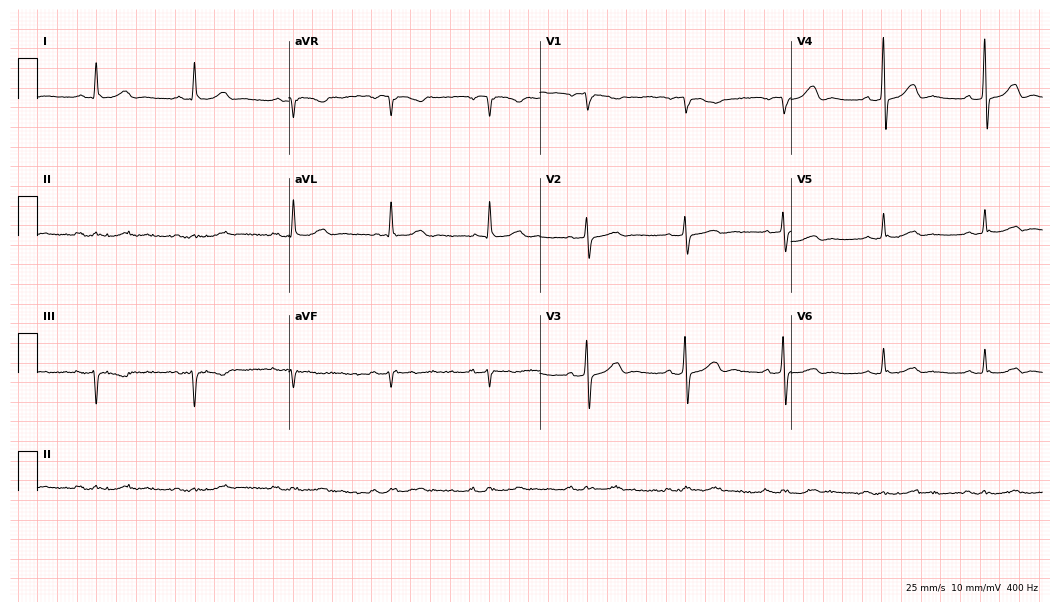
Standard 12-lead ECG recorded from a 77-year-old male (10.2-second recording at 400 Hz). None of these six findings is recorded: first-degree AV block, right bundle branch block (RBBB), left bundle branch block (LBBB), sinus bradycardia, atrial fibrillation (AF), sinus tachycardia.